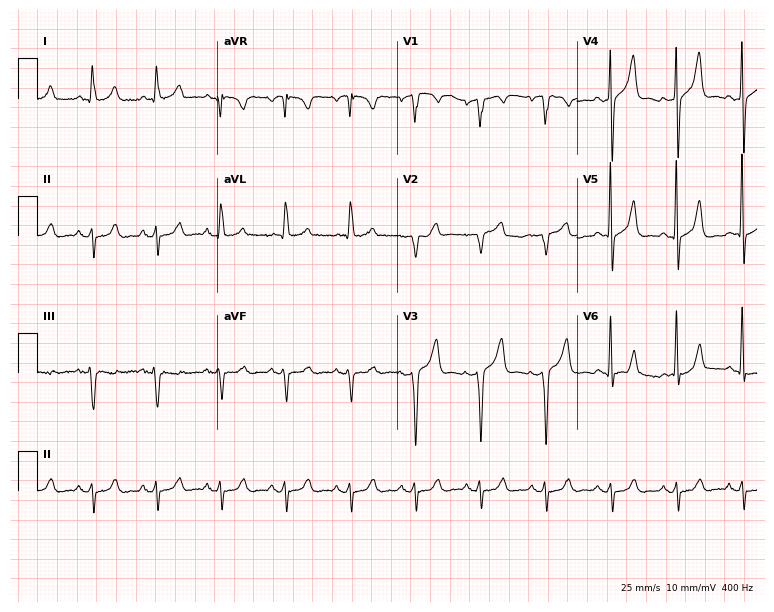
Standard 12-lead ECG recorded from a male, 82 years old. None of these six findings is recorded: first-degree AV block, right bundle branch block (RBBB), left bundle branch block (LBBB), sinus bradycardia, atrial fibrillation (AF), sinus tachycardia.